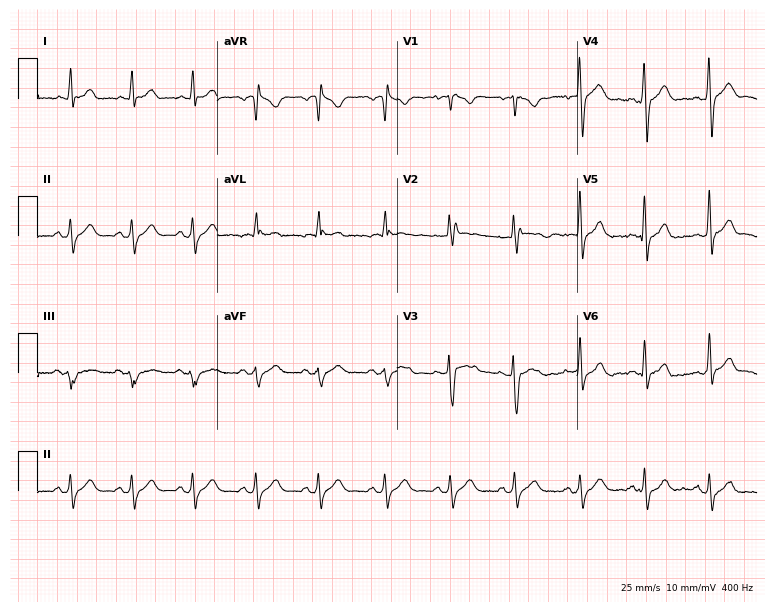
Standard 12-lead ECG recorded from a man, 31 years old. None of these six findings is recorded: first-degree AV block, right bundle branch block, left bundle branch block, sinus bradycardia, atrial fibrillation, sinus tachycardia. Findings outside these six are not listed.